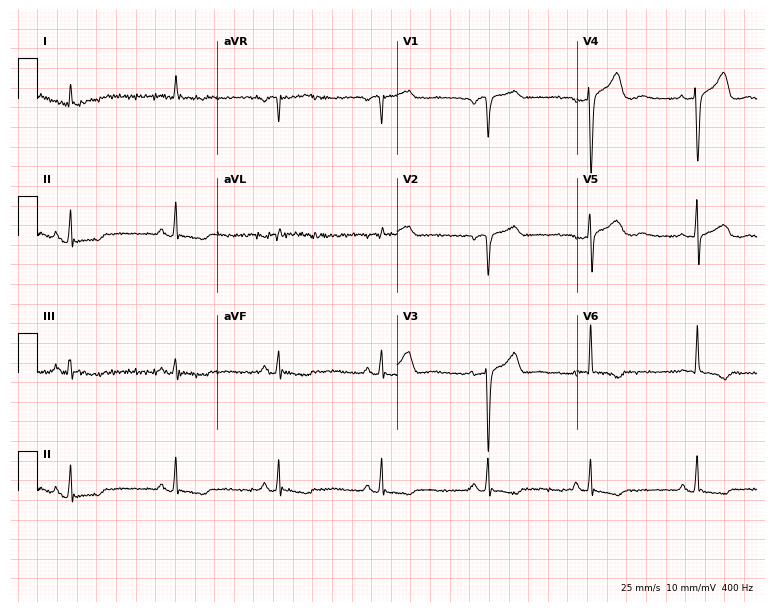
12-lead ECG from a man, 65 years old. No first-degree AV block, right bundle branch block, left bundle branch block, sinus bradycardia, atrial fibrillation or sinus tachycardia recorded for this tracing.